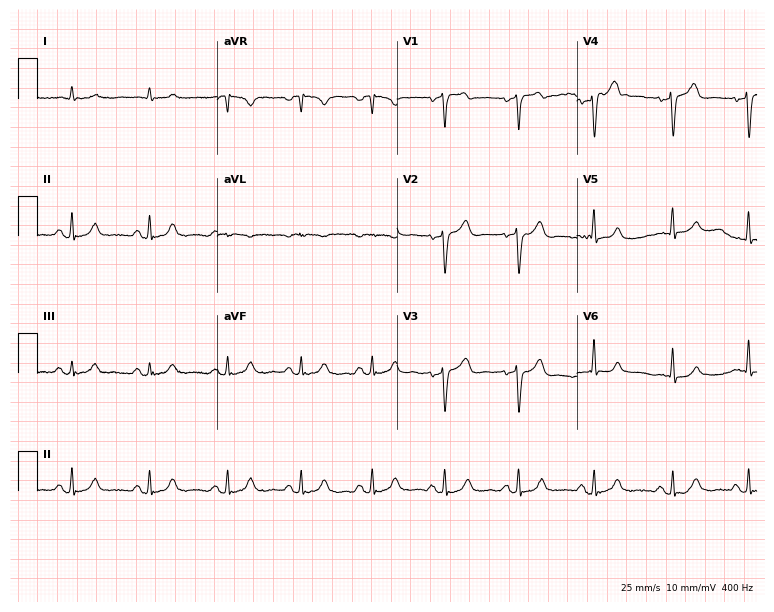
Standard 12-lead ECG recorded from a man, 62 years old (7.3-second recording at 400 Hz). None of these six findings is recorded: first-degree AV block, right bundle branch block (RBBB), left bundle branch block (LBBB), sinus bradycardia, atrial fibrillation (AF), sinus tachycardia. Other findings, if any, are not listed.